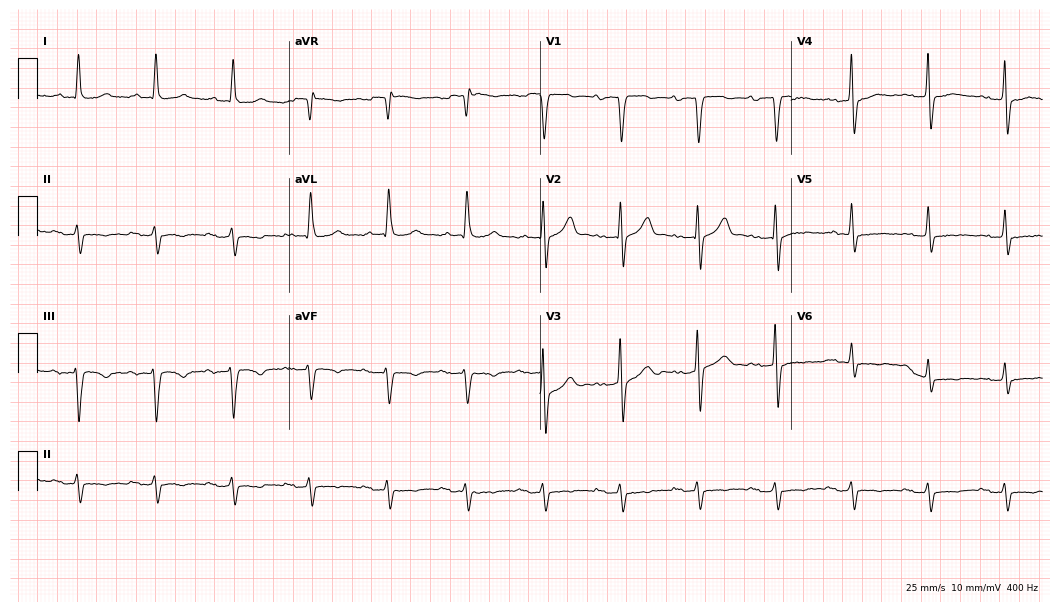
ECG — a 78-year-old man. Findings include first-degree AV block.